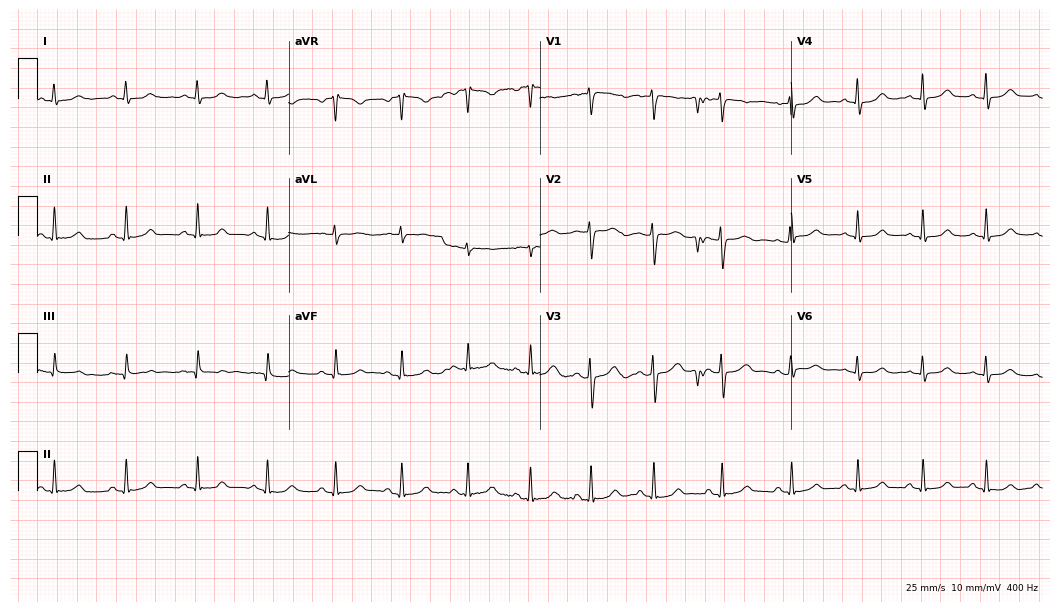
Electrocardiogram, a female, 31 years old. Of the six screened findings (first-degree AV block, right bundle branch block, left bundle branch block, sinus bradycardia, atrial fibrillation, sinus tachycardia), none is recorded.